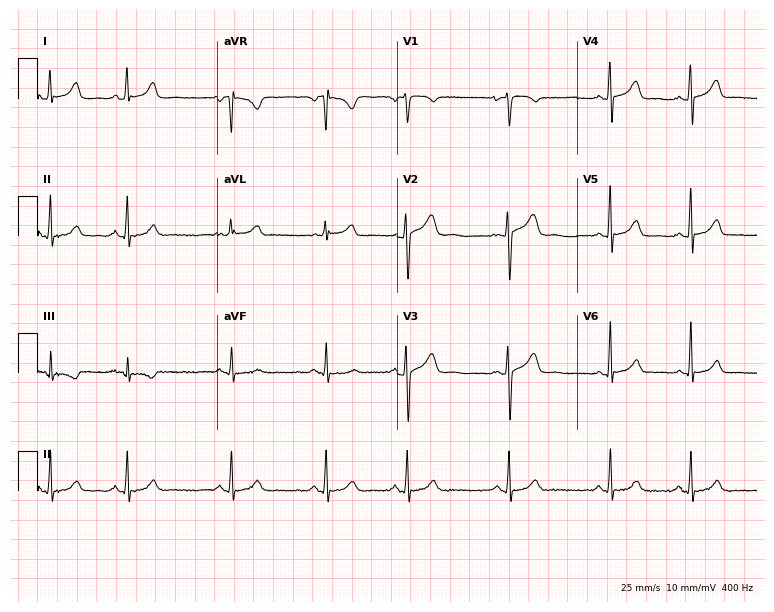
Resting 12-lead electrocardiogram (7.3-second recording at 400 Hz). Patient: a 22-year-old female. Read as a normal ECG.